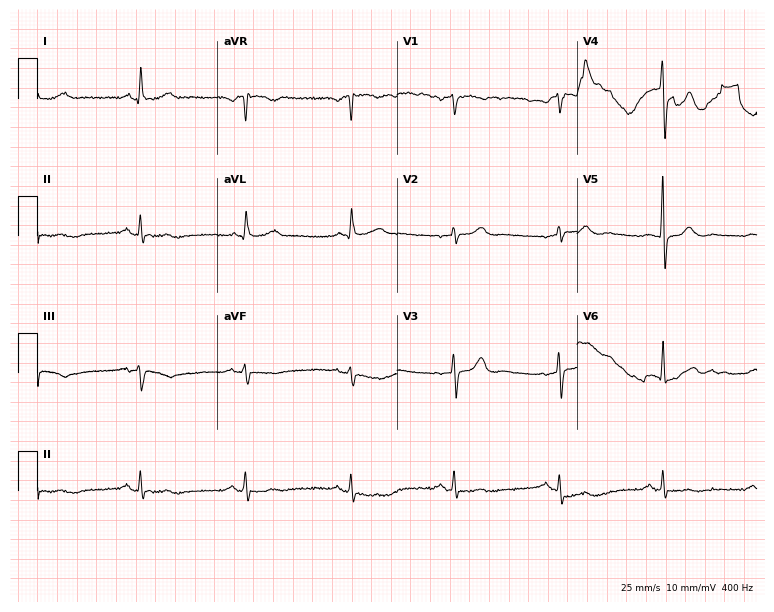
12-lead ECG from a man, 73 years old (7.3-second recording at 400 Hz). No first-degree AV block, right bundle branch block, left bundle branch block, sinus bradycardia, atrial fibrillation or sinus tachycardia recorded for this tracing.